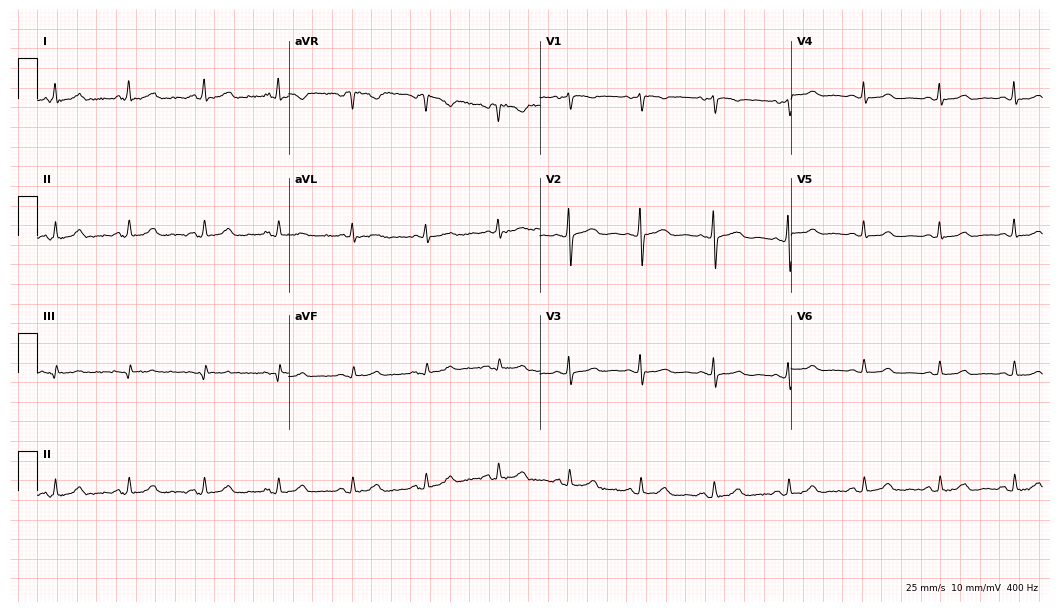
ECG (10.2-second recording at 400 Hz) — a female, 58 years old. Labelled as a normal ECG.